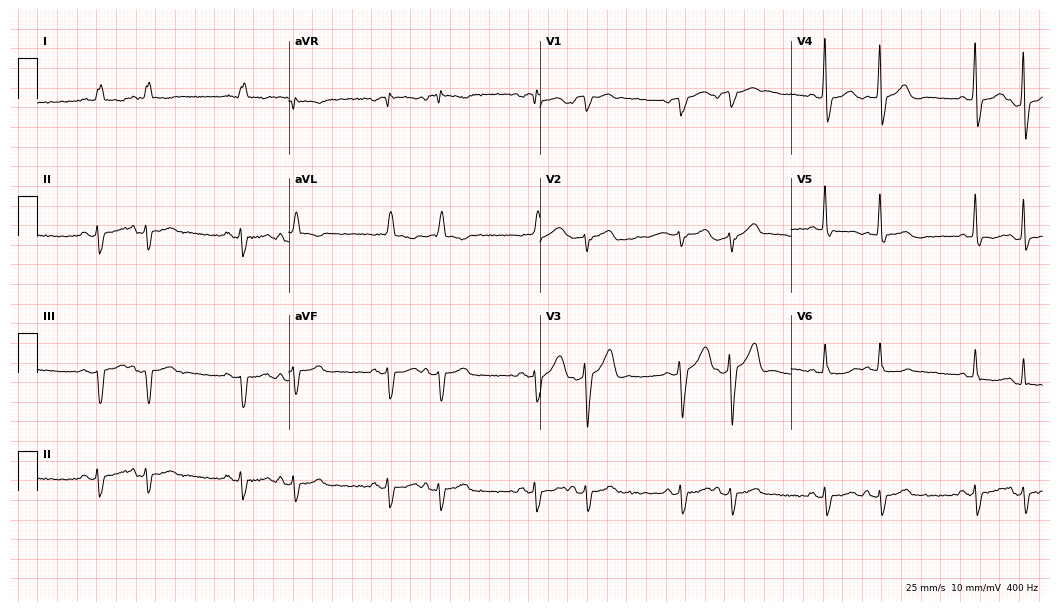
Resting 12-lead electrocardiogram (10.2-second recording at 400 Hz). Patient: a man, 69 years old. None of these six findings is recorded: first-degree AV block, right bundle branch block, left bundle branch block, sinus bradycardia, atrial fibrillation, sinus tachycardia.